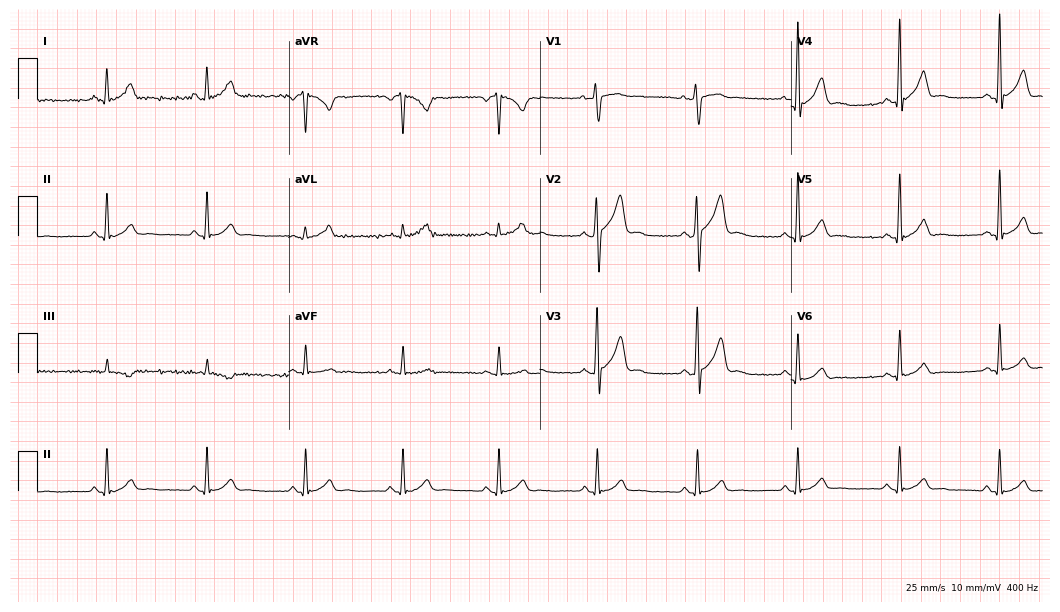
Standard 12-lead ECG recorded from a female patient, 38 years old. Read as a normal ECG.